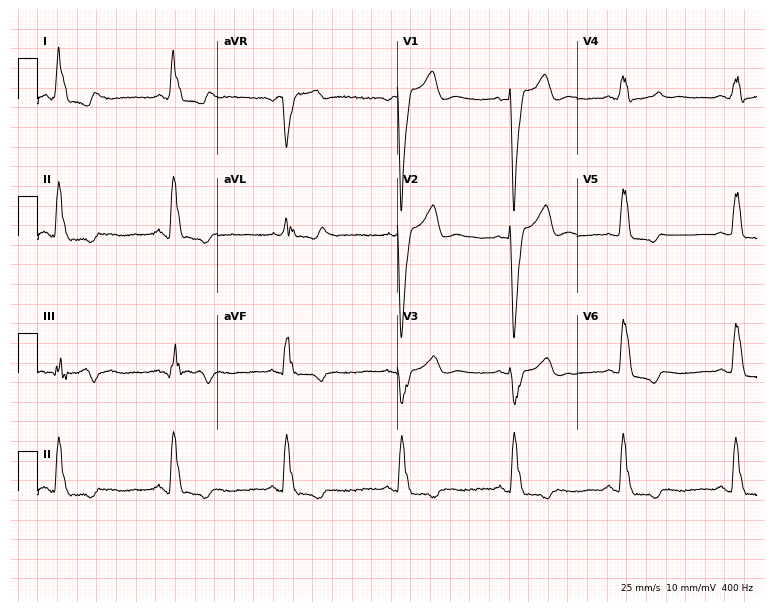
12-lead ECG from a female patient, 68 years old. Findings include left bundle branch block (LBBB).